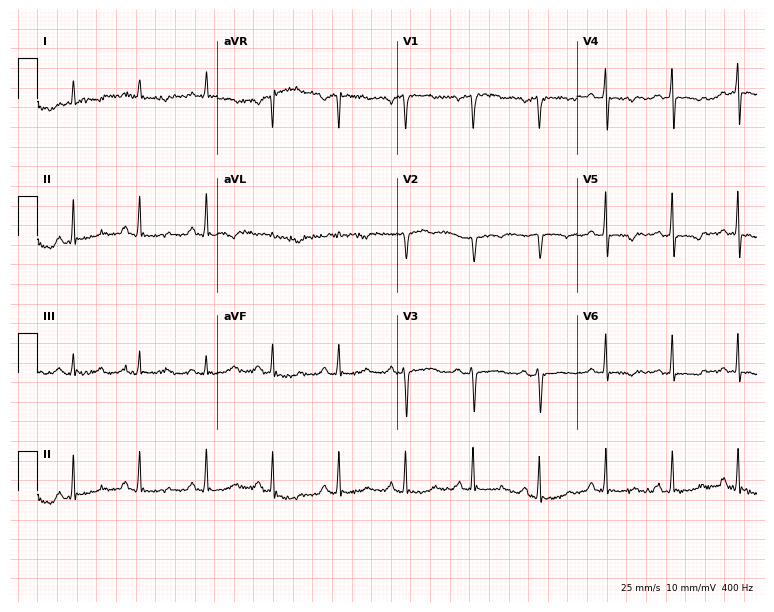
12-lead ECG from a 59-year-old female. Screened for six findings — first-degree AV block, right bundle branch block, left bundle branch block, sinus bradycardia, atrial fibrillation, sinus tachycardia — none is recorded. Only these six findings were labelled.